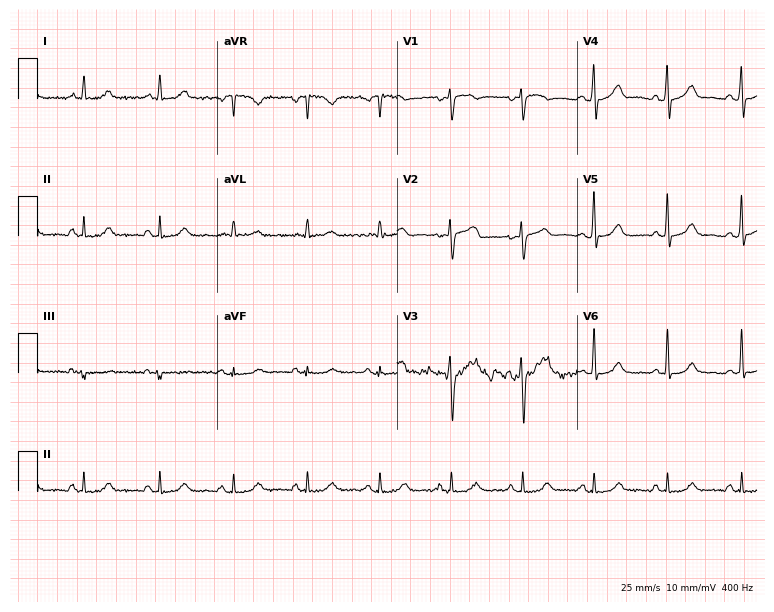
Resting 12-lead electrocardiogram (7.3-second recording at 400 Hz). Patient: a man, 74 years old. Read as a normal ECG.